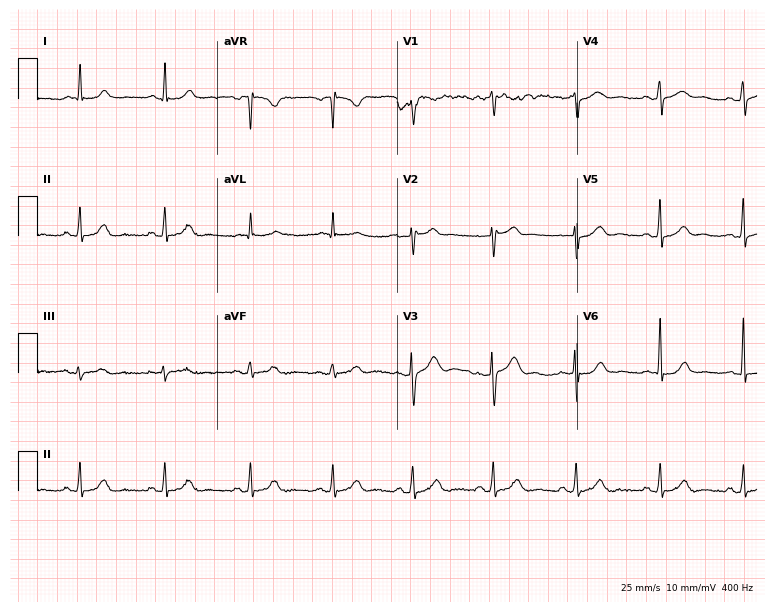
Resting 12-lead electrocardiogram. Patient: a female, 41 years old. None of these six findings is recorded: first-degree AV block, right bundle branch block, left bundle branch block, sinus bradycardia, atrial fibrillation, sinus tachycardia. Only these six findings were labelled.